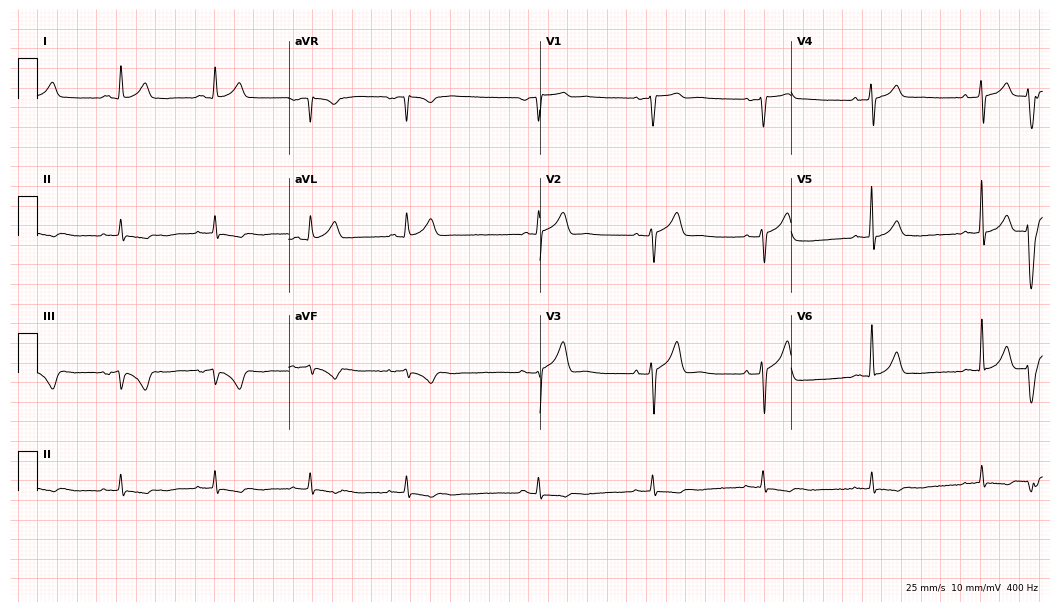
Resting 12-lead electrocardiogram. Patient: a 73-year-old man. None of these six findings is recorded: first-degree AV block, right bundle branch block (RBBB), left bundle branch block (LBBB), sinus bradycardia, atrial fibrillation (AF), sinus tachycardia. Only these six findings were labelled.